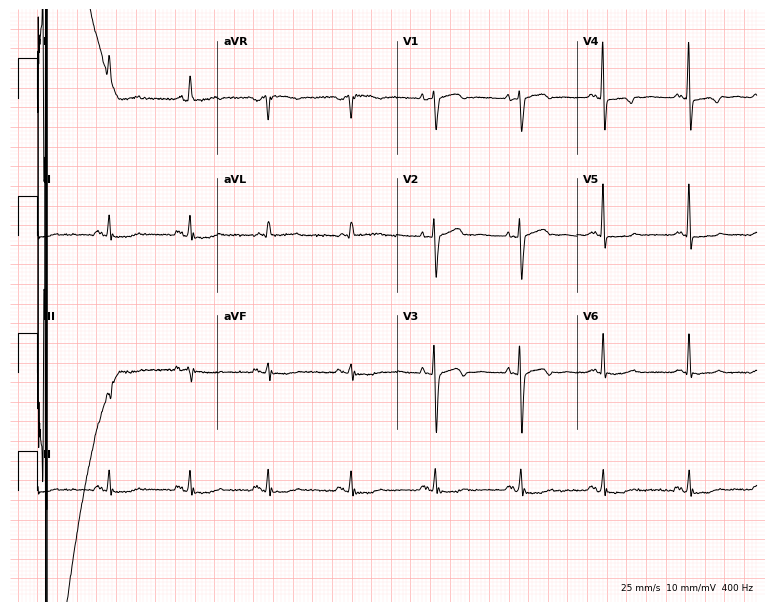
Electrocardiogram, a female, 80 years old. Of the six screened findings (first-degree AV block, right bundle branch block, left bundle branch block, sinus bradycardia, atrial fibrillation, sinus tachycardia), none is recorded.